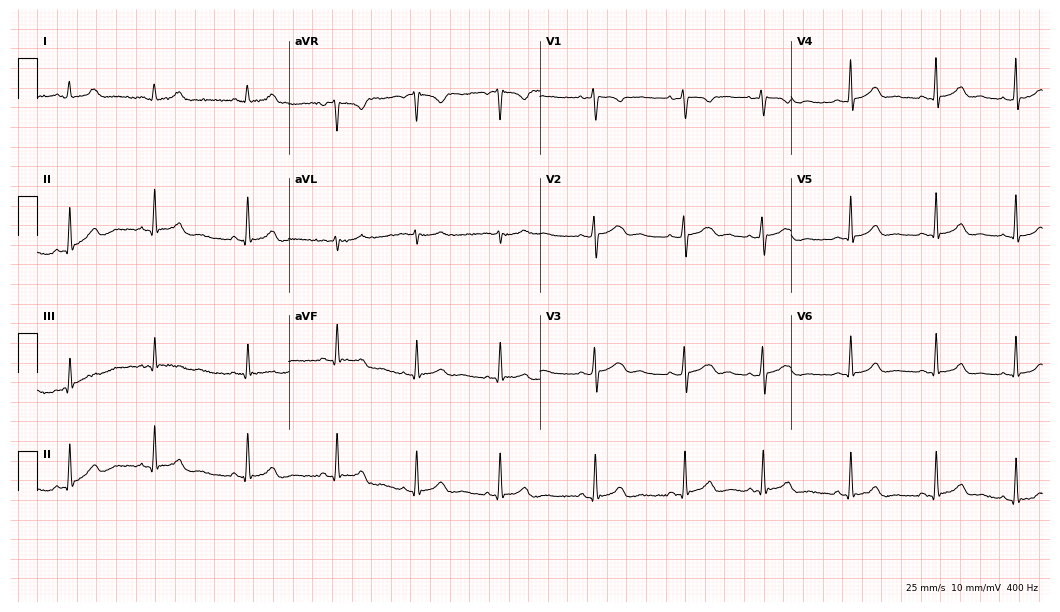
12-lead ECG from a 21-year-old female (10.2-second recording at 400 Hz). Recorded interpretation: within normal limits.